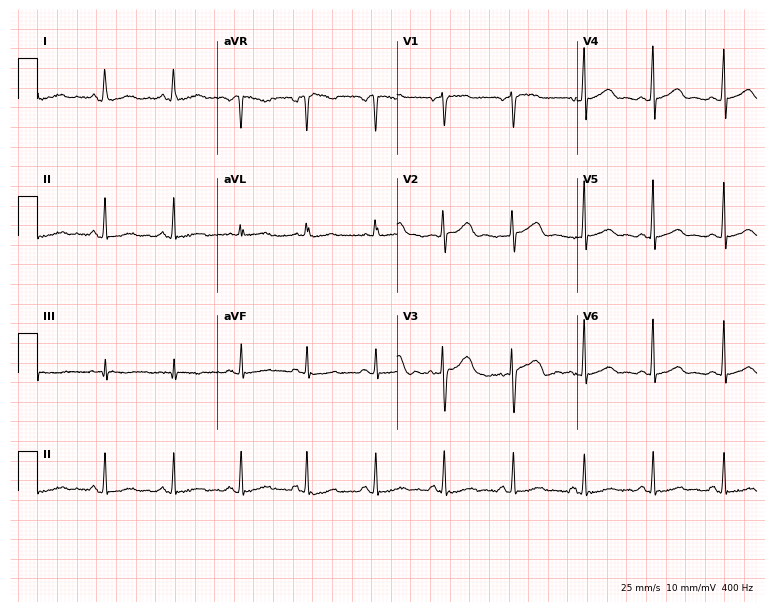
Resting 12-lead electrocardiogram (7.3-second recording at 400 Hz). Patient: a 25-year-old female. Read as a normal ECG.